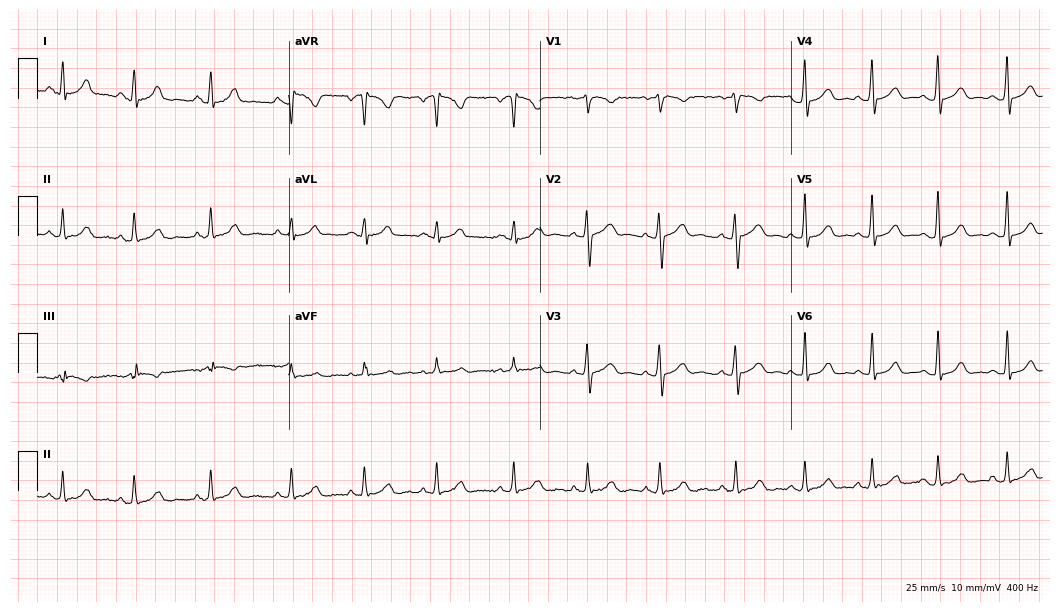
12-lead ECG from a female patient, 23 years old (10.2-second recording at 400 Hz). No first-degree AV block, right bundle branch block (RBBB), left bundle branch block (LBBB), sinus bradycardia, atrial fibrillation (AF) or sinus tachycardia recorded for this tracing. Other findings, if any, are not listed.